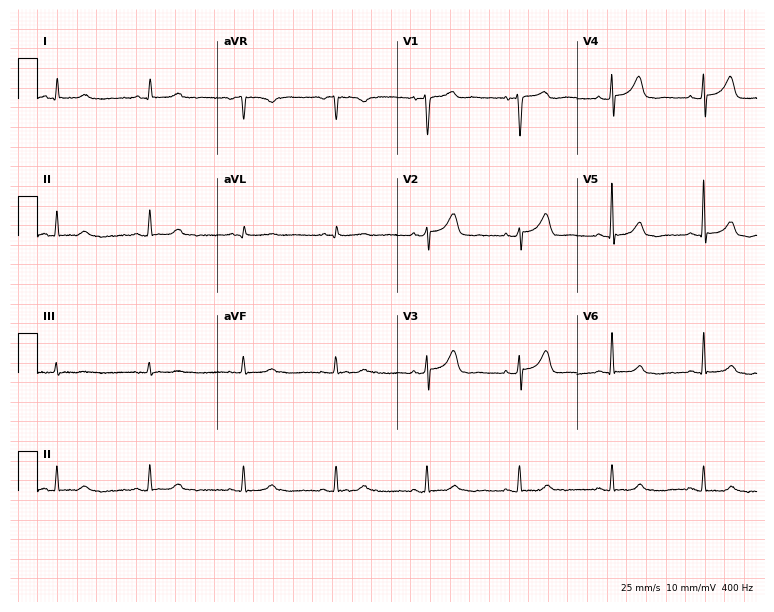
12-lead ECG from a 73-year-old man (7.3-second recording at 400 Hz). No first-degree AV block, right bundle branch block (RBBB), left bundle branch block (LBBB), sinus bradycardia, atrial fibrillation (AF) or sinus tachycardia recorded for this tracing. Other findings, if any, are not listed.